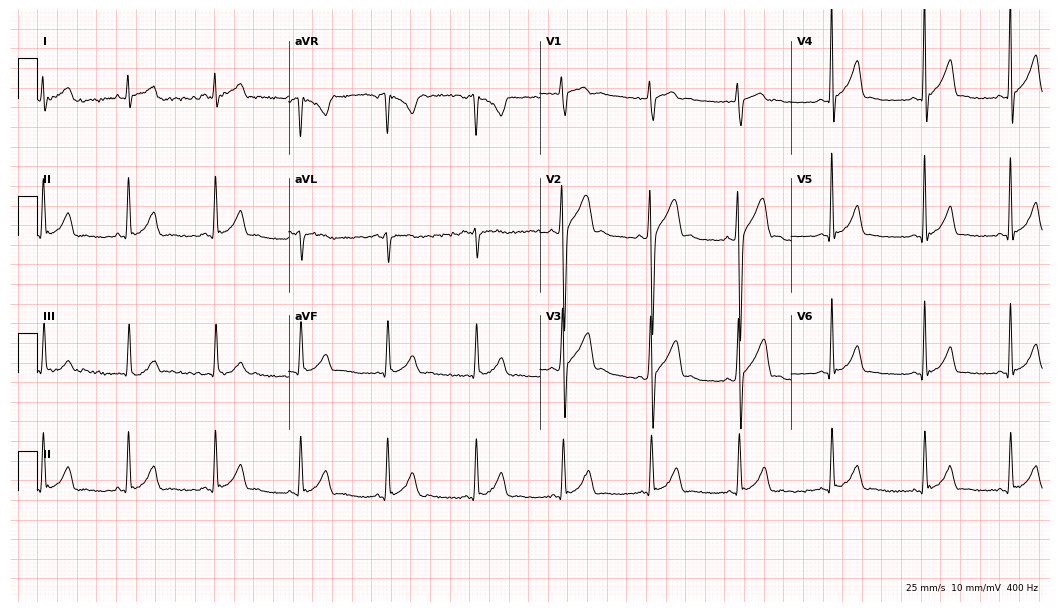
Resting 12-lead electrocardiogram (10.2-second recording at 400 Hz). Patient: a male, 30 years old. None of these six findings is recorded: first-degree AV block, right bundle branch block (RBBB), left bundle branch block (LBBB), sinus bradycardia, atrial fibrillation (AF), sinus tachycardia.